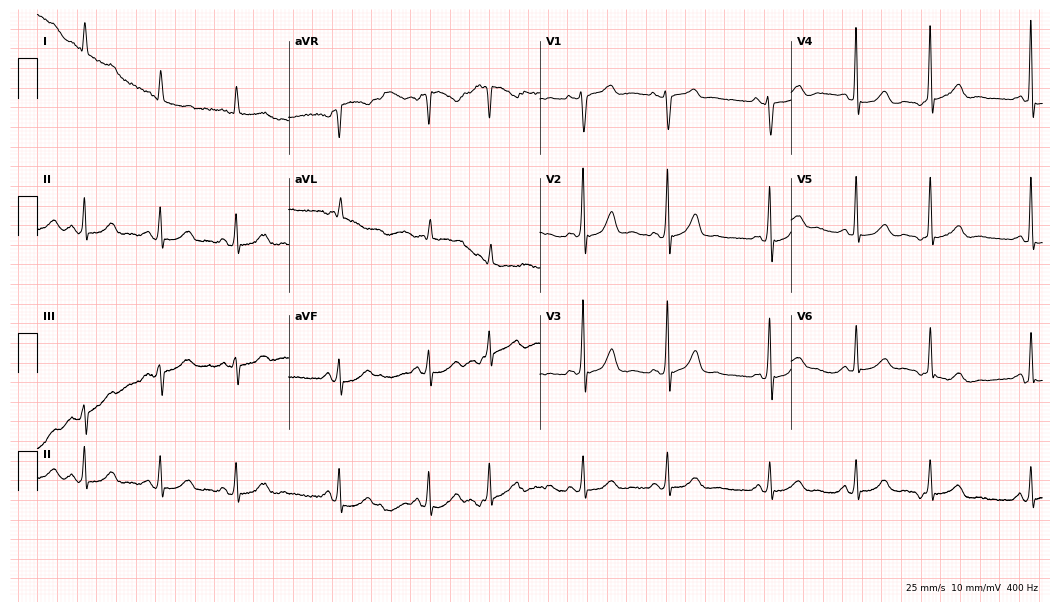
12-lead ECG from a 79-year-old woman (10.2-second recording at 400 Hz). No first-degree AV block, right bundle branch block (RBBB), left bundle branch block (LBBB), sinus bradycardia, atrial fibrillation (AF) or sinus tachycardia recorded for this tracing.